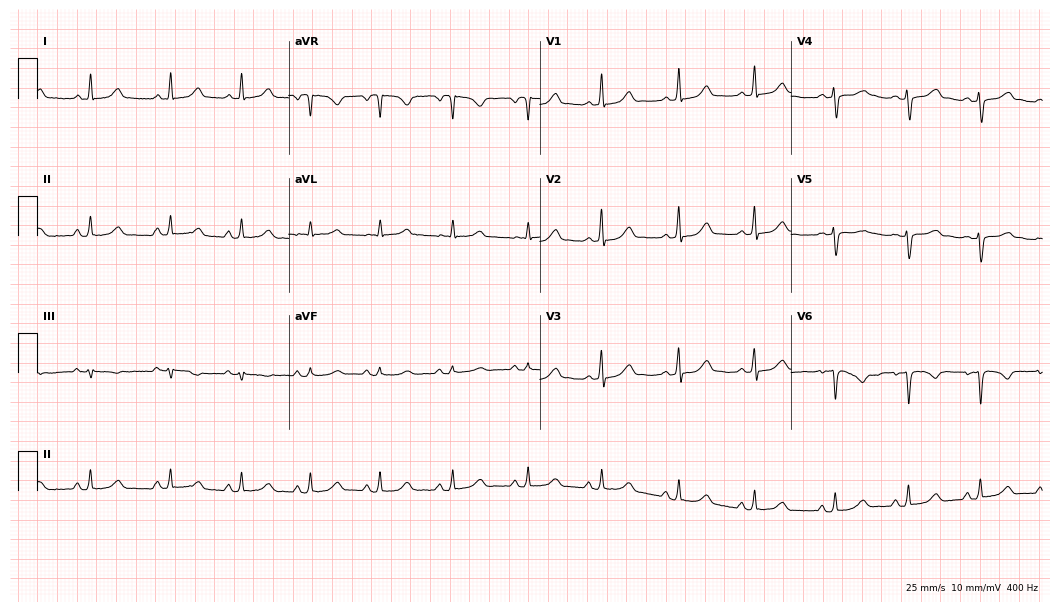
Standard 12-lead ECG recorded from a female, 35 years old (10.2-second recording at 400 Hz). None of these six findings is recorded: first-degree AV block, right bundle branch block, left bundle branch block, sinus bradycardia, atrial fibrillation, sinus tachycardia. Only these six findings were labelled.